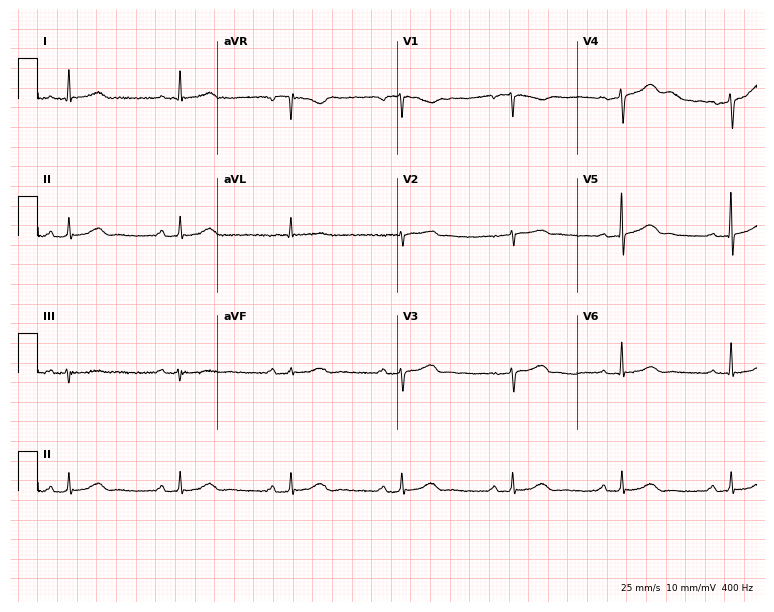
12-lead ECG from a male patient, 65 years old. Recorded interpretation: within normal limits.